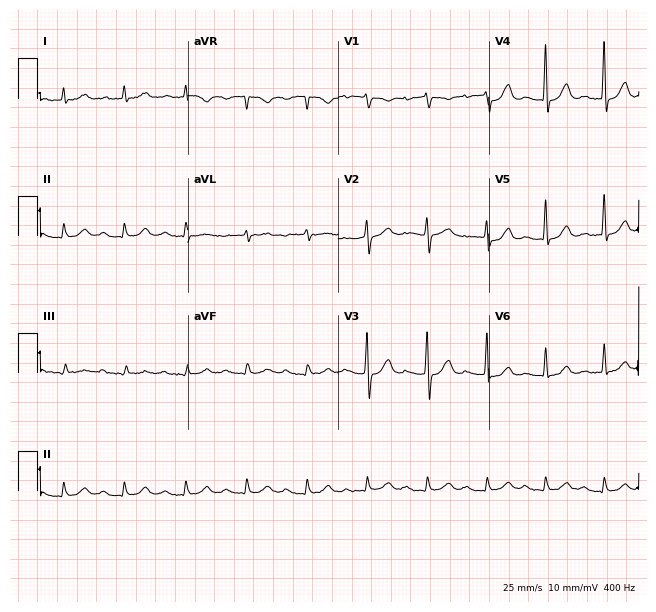
12-lead ECG (6.1-second recording at 400 Hz) from a 76-year-old female. Screened for six findings — first-degree AV block, right bundle branch block (RBBB), left bundle branch block (LBBB), sinus bradycardia, atrial fibrillation (AF), sinus tachycardia — none is recorded. Other findings, if any, are not listed.